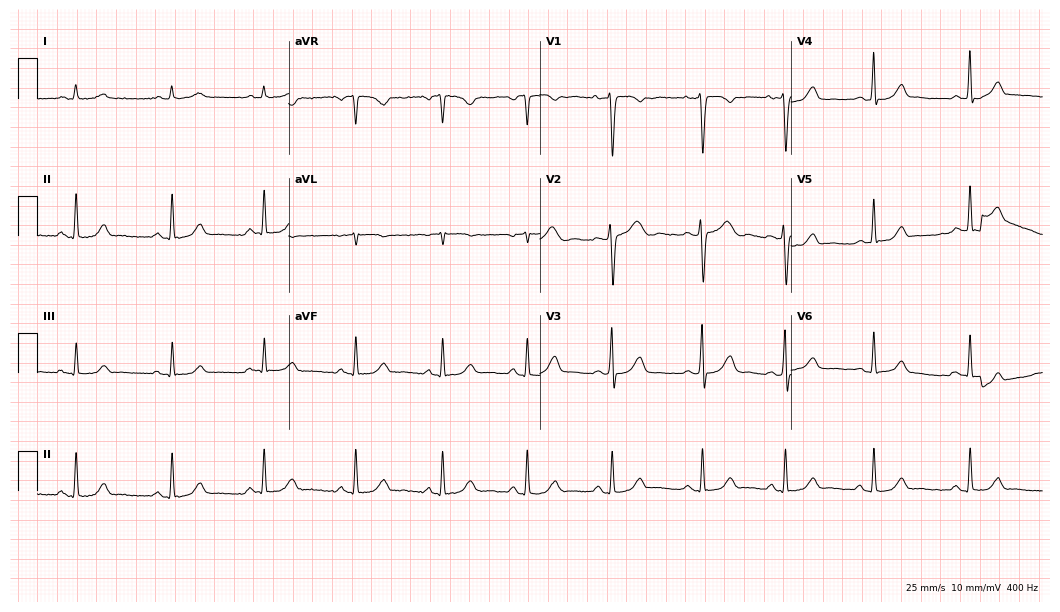
12-lead ECG from a 31-year-old female (10.2-second recording at 400 Hz). Recorded interpretation: within normal limits.